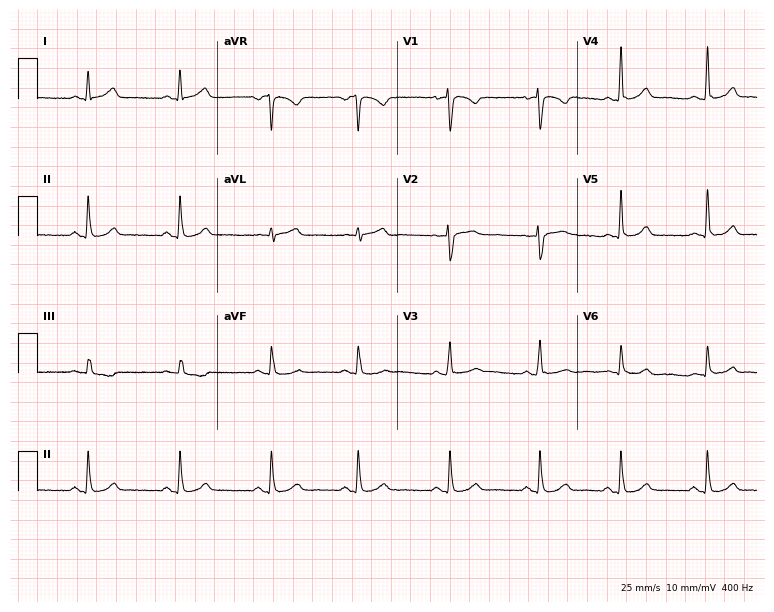
12-lead ECG from a woman, 34 years old. Recorded interpretation: within normal limits.